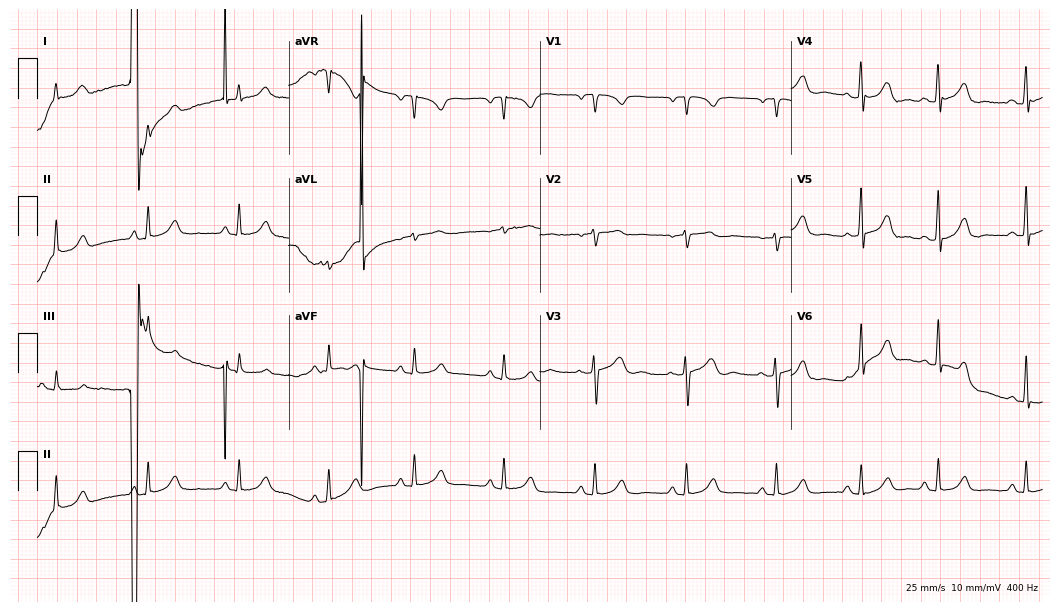
ECG (10.2-second recording at 400 Hz) — a 48-year-old female patient. Screened for six findings — first-degree AV block, right bundle branch block (RBBB), left bundle branch block (LBBB), sinus bradycardia, atrial fibrillation (AF), sinus tachycardia — none is recorded.